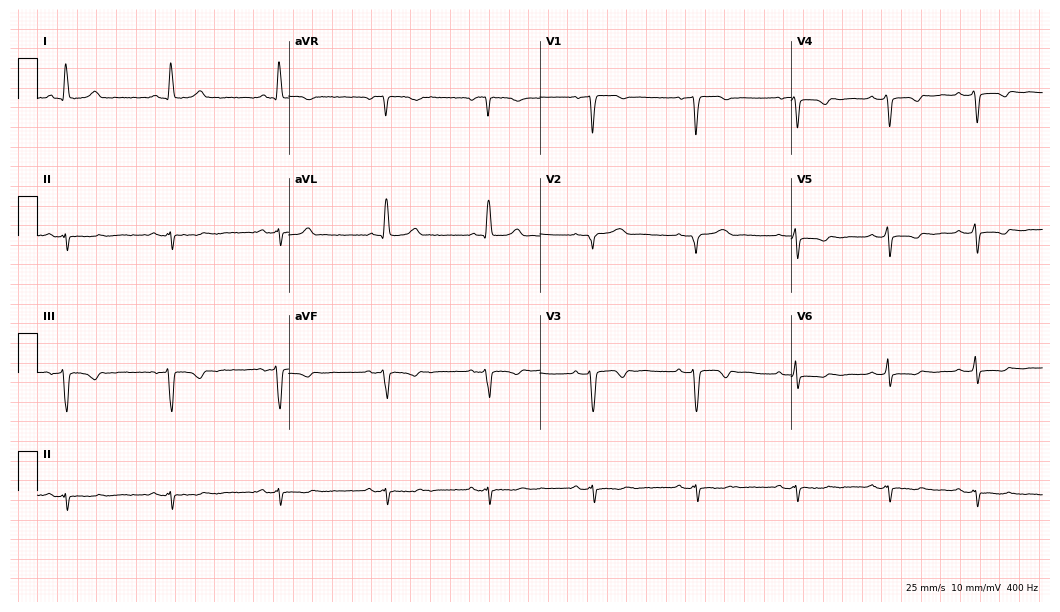
Standard 12-lead ECG recorded from a female patient, 50 years old. None of these six findings is recorded: first-degree AV block, right bundle branch block (RBBB), left bundle branch block (LBBB), sinus bradycardia, atrial fibrillation (AF), sinus tachycardia. Only these six findings were labelled.